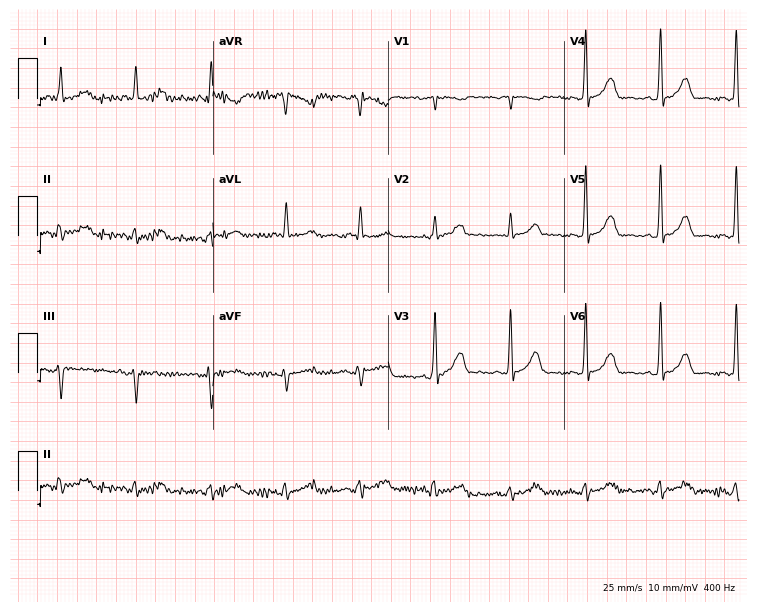
12-lead ECG from a man, 79 years old. No first-degree AV block, right bundle branch block, left bundle branch block, sinus bradycardia, atrial fibrillation or sinus tachycardia recorded for this tracing. Findings outside these six are not listed.